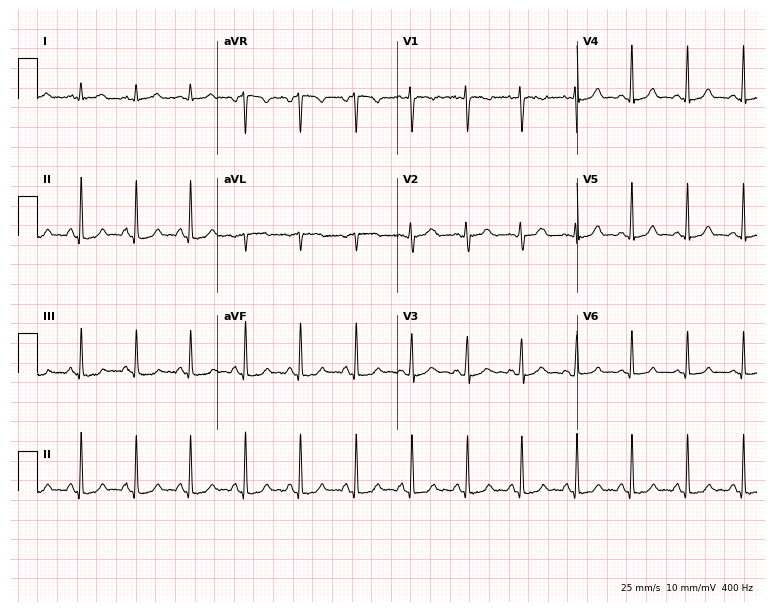
12-lead ECG from a 28-year-old female patient. Screened for six findings — first-degree AV block, right bundle branch block (RBBB), left bundle branch block (LBBB), sinus bradycardia, atrial fibrillation (AF), sinus tachycardia — none is recorded.